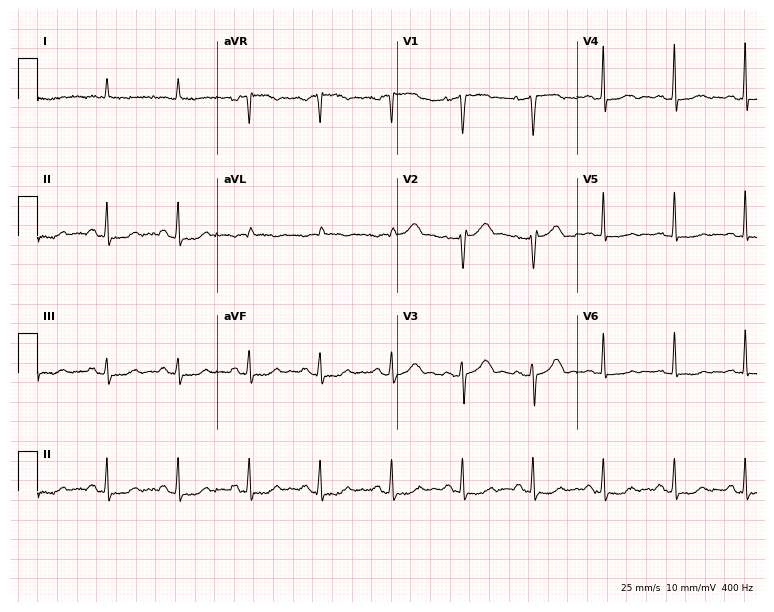
12-lead ECG from a male, 77 years old (7.3-second recording at 400 Hz). No first-degree AV block, right bundle branch block, left bundle branch block, sinus bradycardia, atrial fibrillation or sinus tachycardia recorded for this tracing.